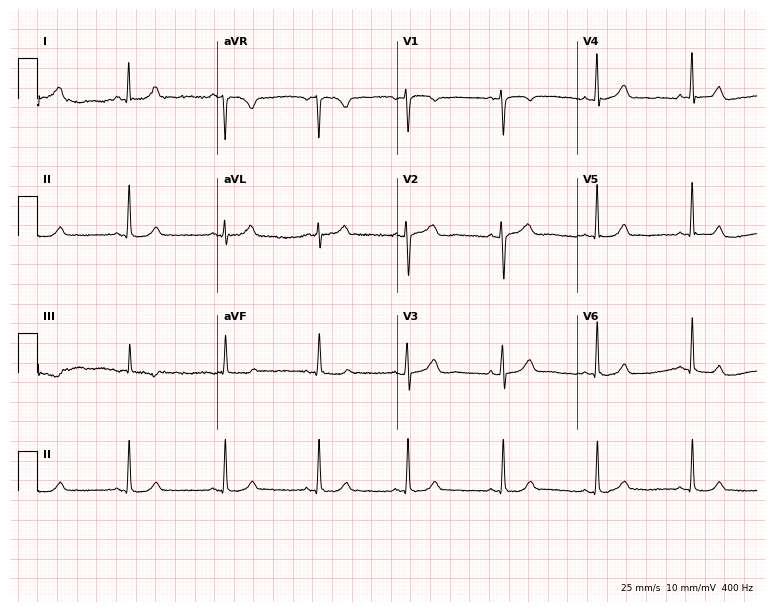
Resting 12-lead electrocardiogram (7.3-second recording at 400 Hz). Patient: a 46-year-old woman. Read as a normal ECG.